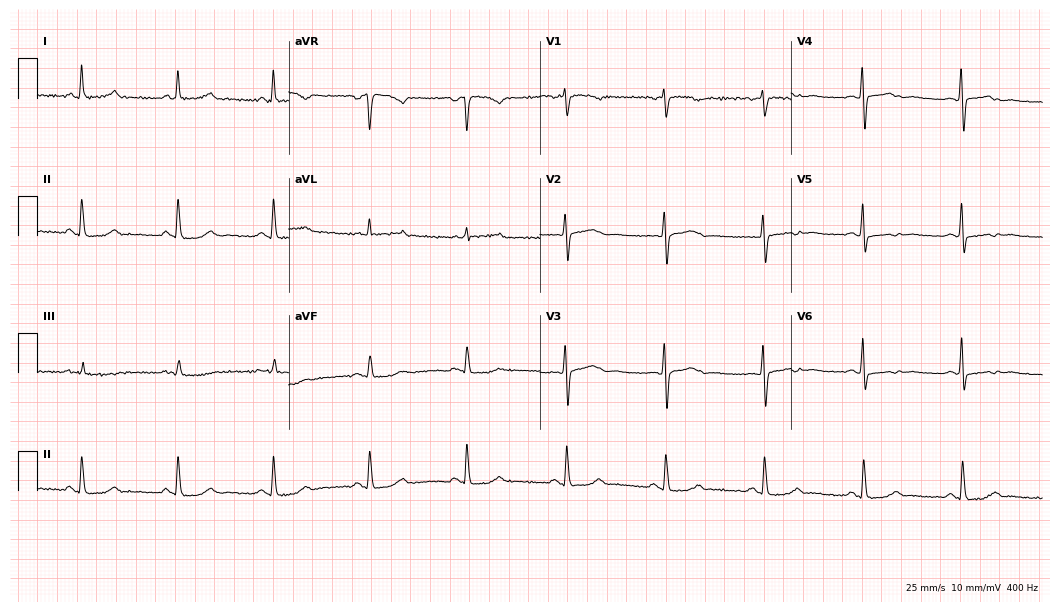
ECG (10.2-second recording at 400 Hz) — a female, 57 years old. Screened for six findings — first-degree AV block, right bundle branch block, left bundle branch block, sinus bradycardia, atrial fibrillation, sinus tachycardia — none is recorded.